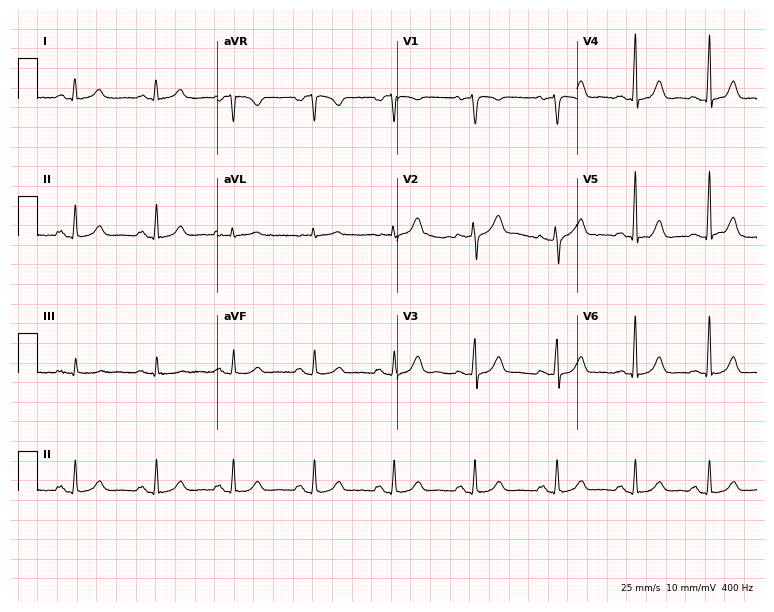
ECG (7.3-second recording at 400 Hz) — a female, 42 years old. Labelled as a normal ECG.